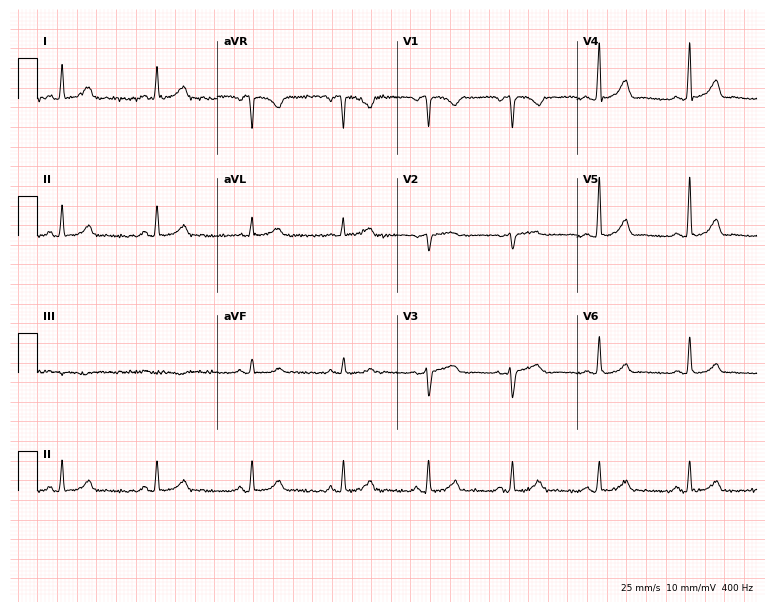
ECG (7.3-second recording at 400 Hz) — a female patient, 58 years old. Labelled as a normal ECG.